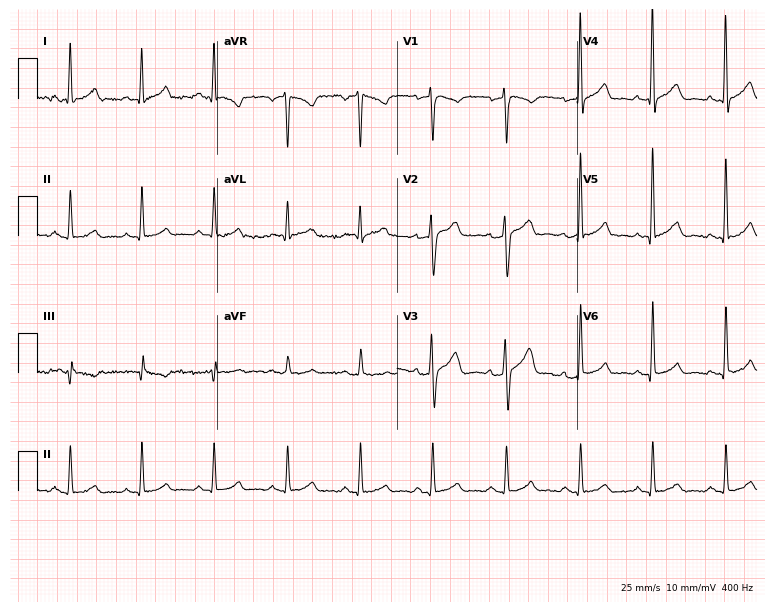
Standard 12-lead ECG recorded from a 33-year-old male patient. Read as a normal ECG.